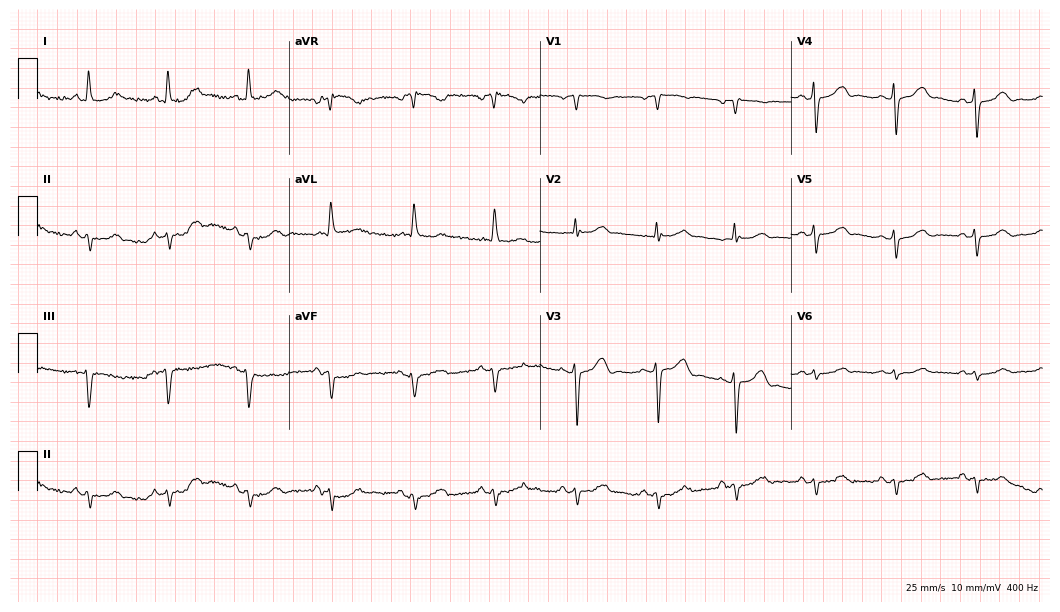
Standard 12-lead ECG recorded from a 61-year-old female patient. None of these six findings is recorded: first-degree AV block, right bundle branch block, left bundle branch block, sinus bradycardia, atrial fibrillation, sinus tachycardia.